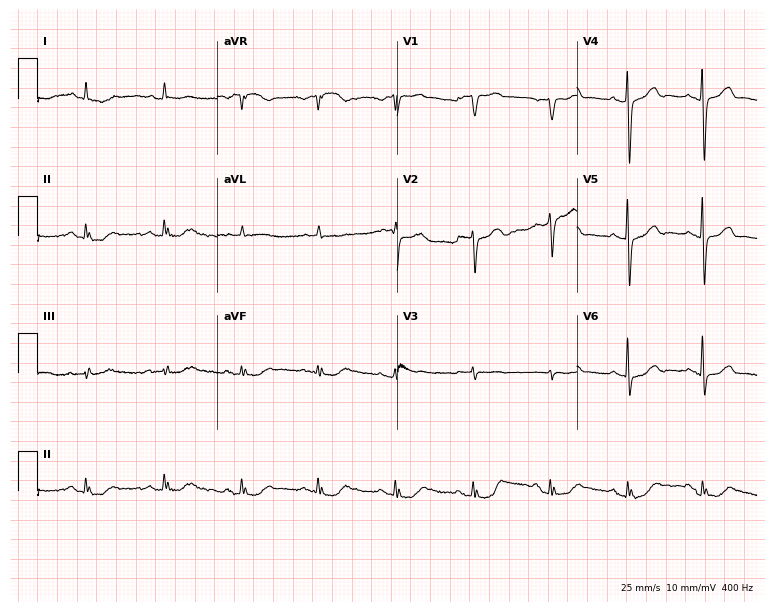
Standard 12-lead ECG recorded from a 55-year-old man. None of these six findings is recorded: first-degree AV block, right bundle branch block, left bundle branch block, sinus bradycardia, atrial fibrillation, sinus tachycardia.